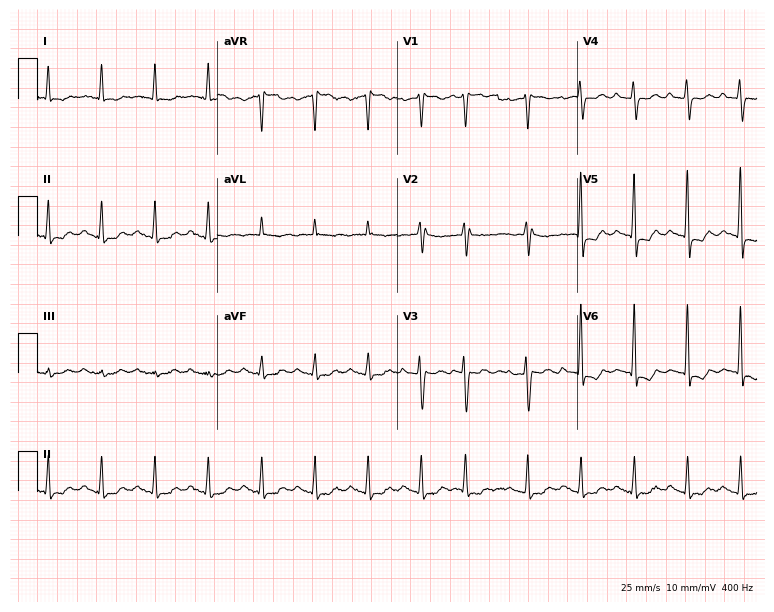
12-lead ECG from a 75-year-old woman. Shows sinus tachycardia (a sinus rate of 100 beats per minute or more).